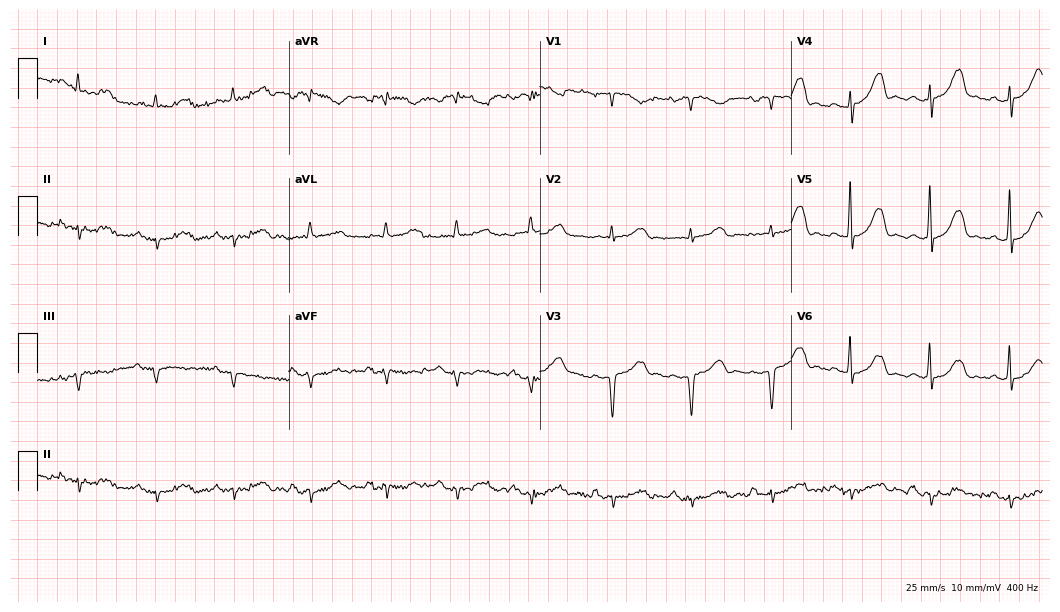
Standard 12-lead ECG recorded from a male patient, 66 years old (10.2-second recording at 400 Hz). None of these six findings is recorded: first-degree AV block, right bundle branch block, left bundle branch block, sinus bradycardia, atrial fibrillation, sinus tachycardia.